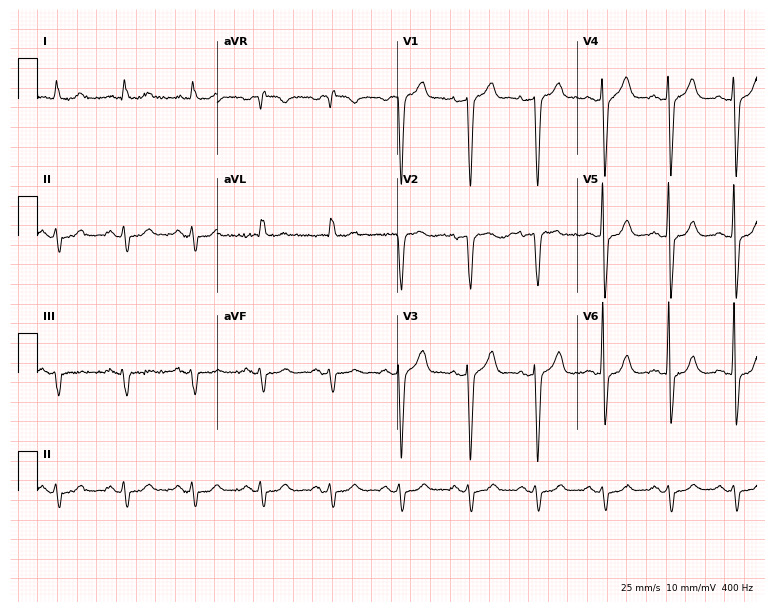
12-lead ECG (7.3-second recording at 400 Hz) from a male patient, 85 years old. Screened for six findings — first-degree AV block, right bundle branch block, left bundle branch block, sinus bradycardia, atrial fibrillation, sinus tachycardia — none is recorded. Findings outside these six are not listed.